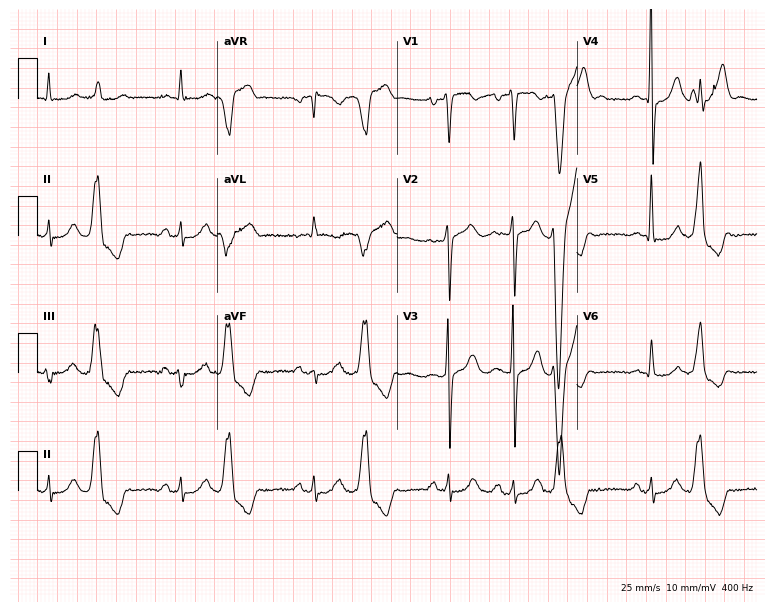
12-lead ECG (7.3-second recording at 400 Hz) from a male, 69 years old. Screened for six findings — first-degree AV block, right bundle branch block, left bundle branch block, sinus bradycardia, atrial fibrillation, sinus tachycardia — none is recorded. Findings outside these six are not listed.